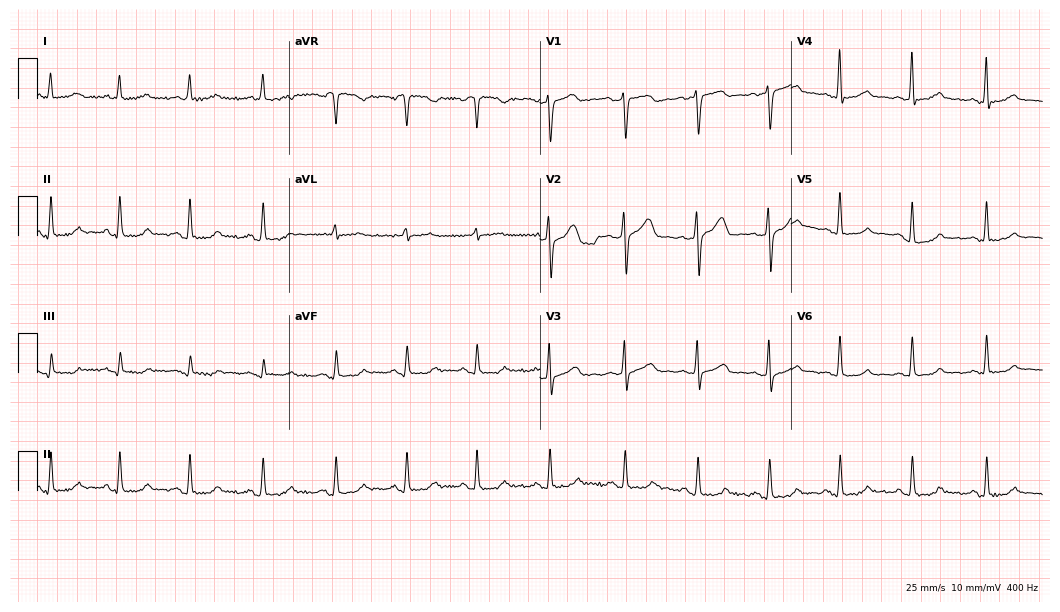
ECG — a 54-year-old male patient. Screened for six findings — first-degree AV block, right bundle branch block, left bundle branch block, sinus bradycardia, atrial fibrillation, sinus tachycardia — none is recorded.